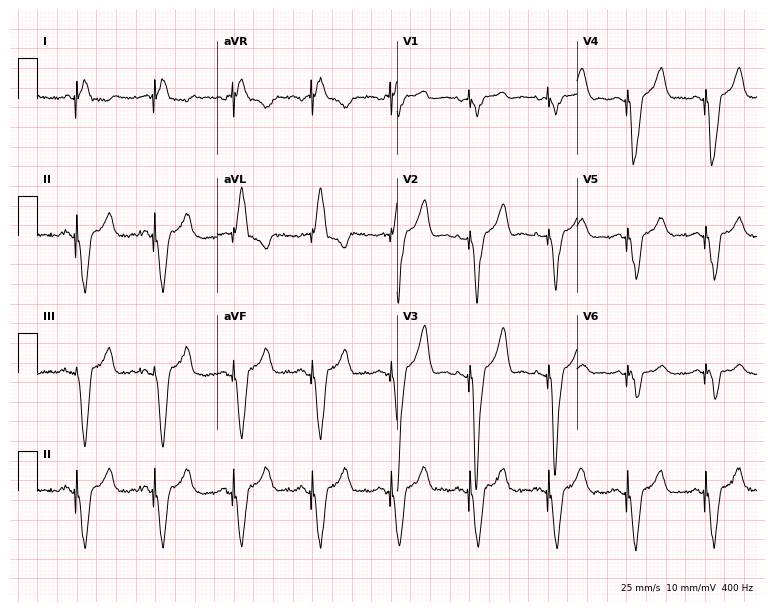
12-lead ECG from a male, 77 years old (7.3-second recording at 400 Hz). No first-degree AV block, right bundle branch block (RBBB), left bundle branch block (LBBB), sinus bradycardia, atrial fibrillation (AF) or sinus tachycardia recorded for this tracing. Other findings, if any, are not listed.